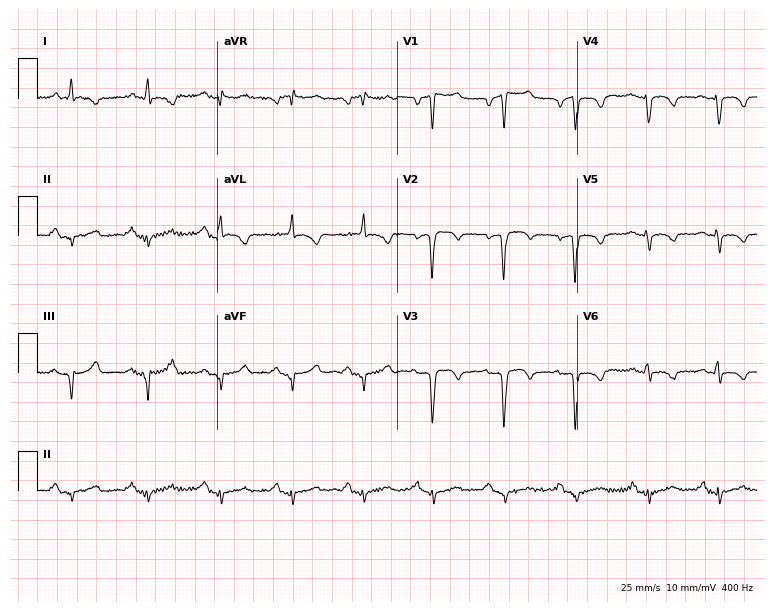
12-lead ECG from a male, 57 years old (7.3-second recording at 400 Hz). No first-degree AV block, right bundle branch block, left bundle branch block, sinus bradycardia, atrial fibrillation or sinus tachycardia recorded for this tracing.